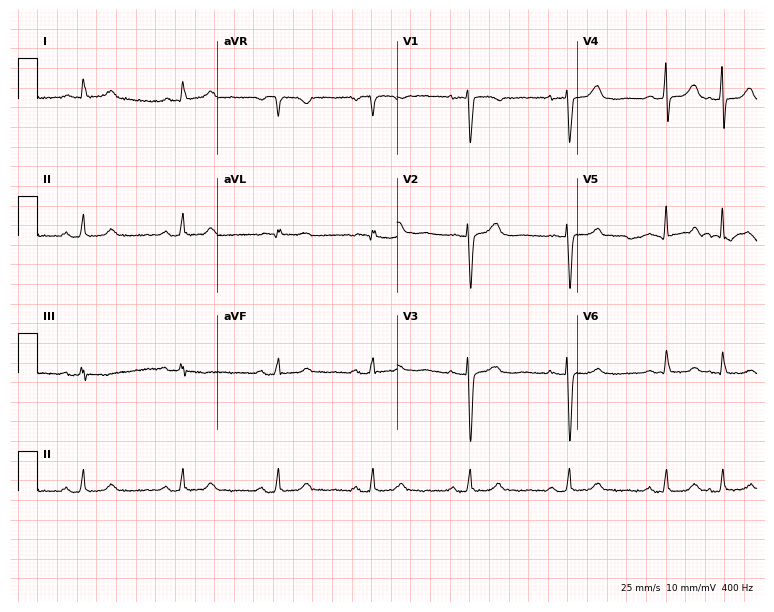
12-lead ECG (7.3-second recording at 400 Hz) from a 51-year-old woman. Screened for six findings — first-degree AV block, right bundle branch block, left bundle branch block, sinus bradycardia, atrial fibrillation, sinus tachycardia — none is recorded. Other findings, if any, are not listed.